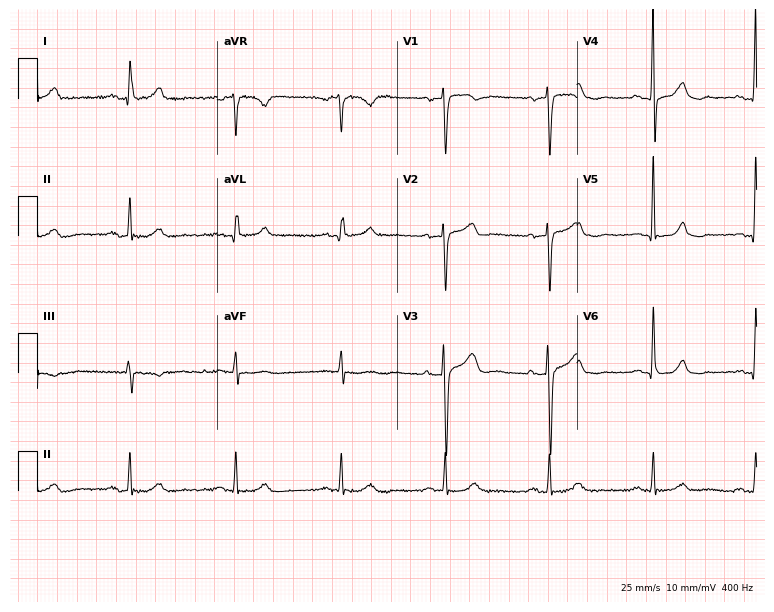
12-lead ECG (7.3-second recording at 400 Hz) from a male, 49 years old. Screened for six findings — first-degree AV block, right bundle branch block (RBBB), left bundle branch block (LBBB), sinus bradycardia, atrial fibrillation (AF), sinus tachycardia — none is recorded. Only these six findings were labelled.